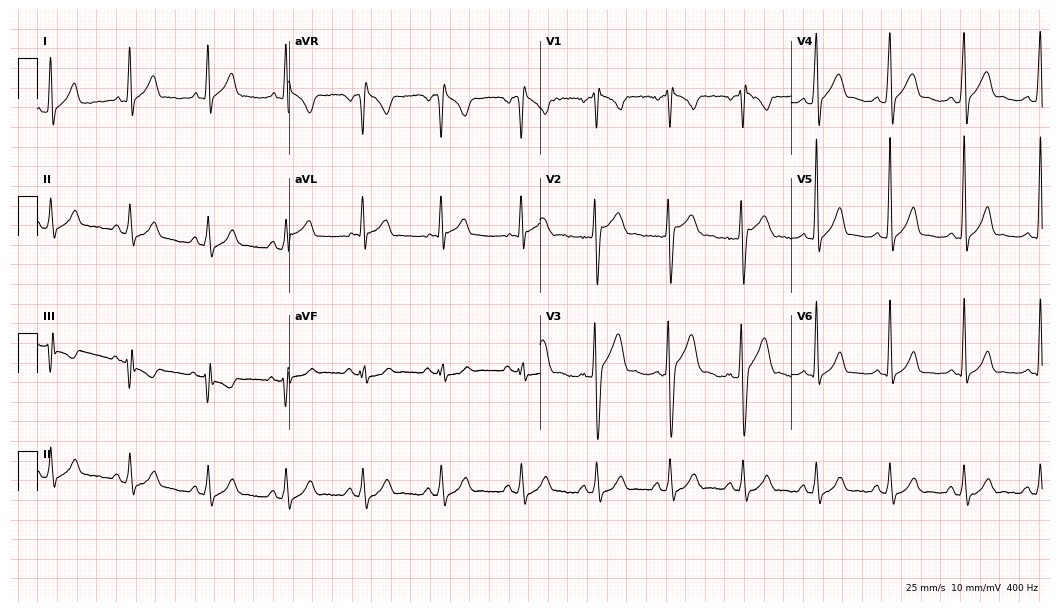
Electrocardiogram (10.2-second recording at 400 Hz), a 24-year-old male. Of the six screened findings (first-degree AV block, right bundle branch block (RBBB), left bundle branch block (LBBB), sinus bradycardia, atrial fibrillation (AF), sinus tachycardia), none is recorded. Other findings, if any, are not listed.